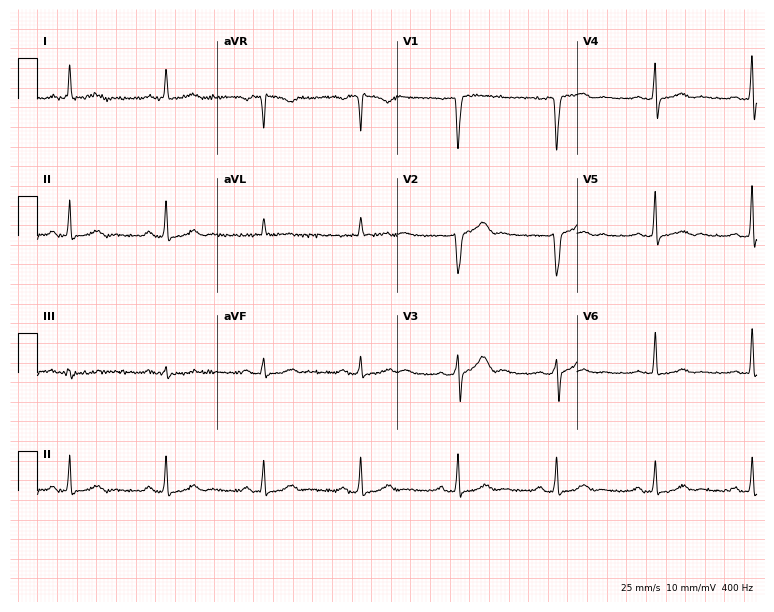
12-lead ECG from a 64-year-old male. No first-degree AV block, right bundle branch block, left bundle branch block, sinus bradycardia, atrial fibrillation or sinus tachycardia recorded for this tracing.